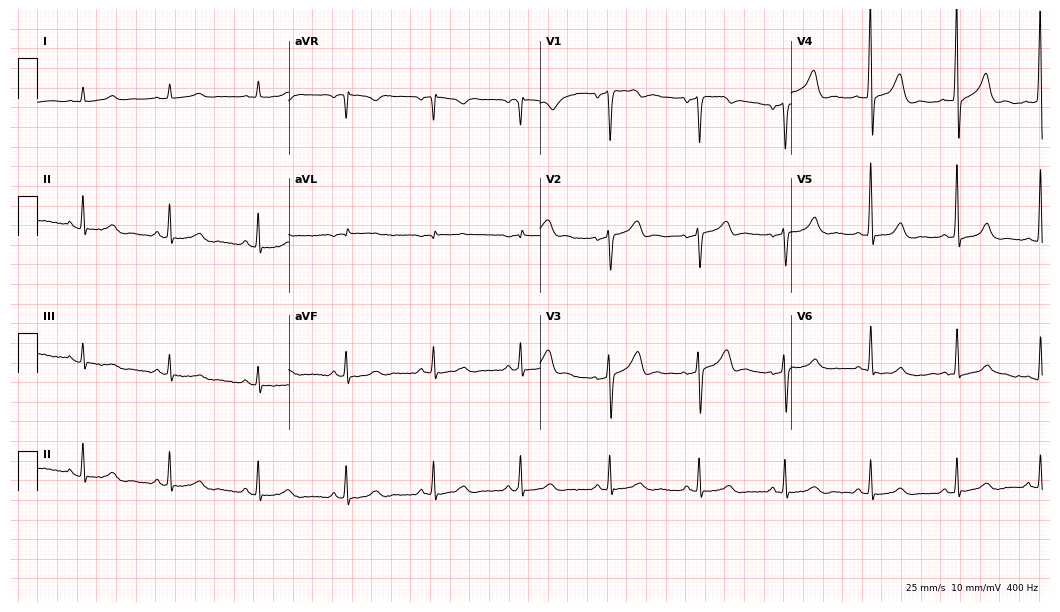
Resting 12-lead electrocardiogram (10.2-second recording at 400 Hz). Patient: a male, 46 years old. Read as a normal ECG.